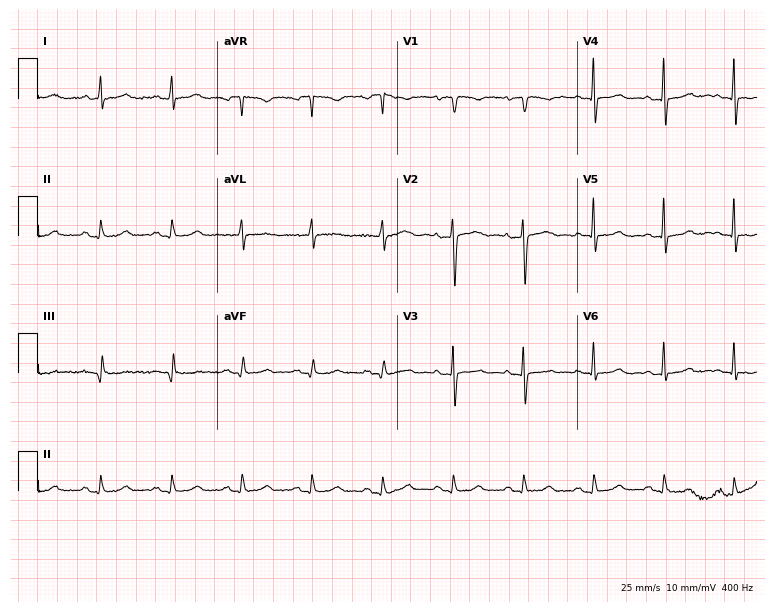
12-lead ECG from a woman, 50 years old. Screened for six findings — first-degree AV block, right bundle branch block, left bundle branch block, sinus bradycardia, atrial fibrillation, sinus tachycardia — none is recorded. Findings outside these six are not listed.